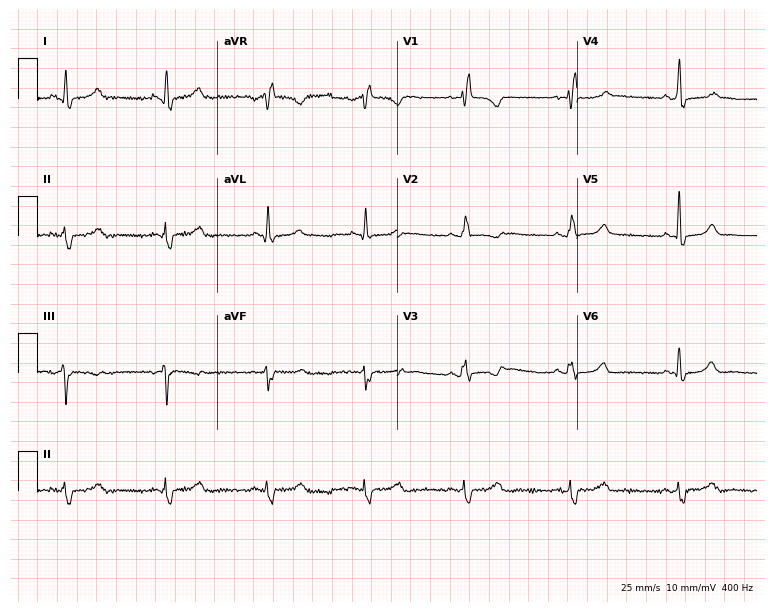
12-lead ECG from a woman, 41 years old. Findings include right bundle branch block (RBBB).